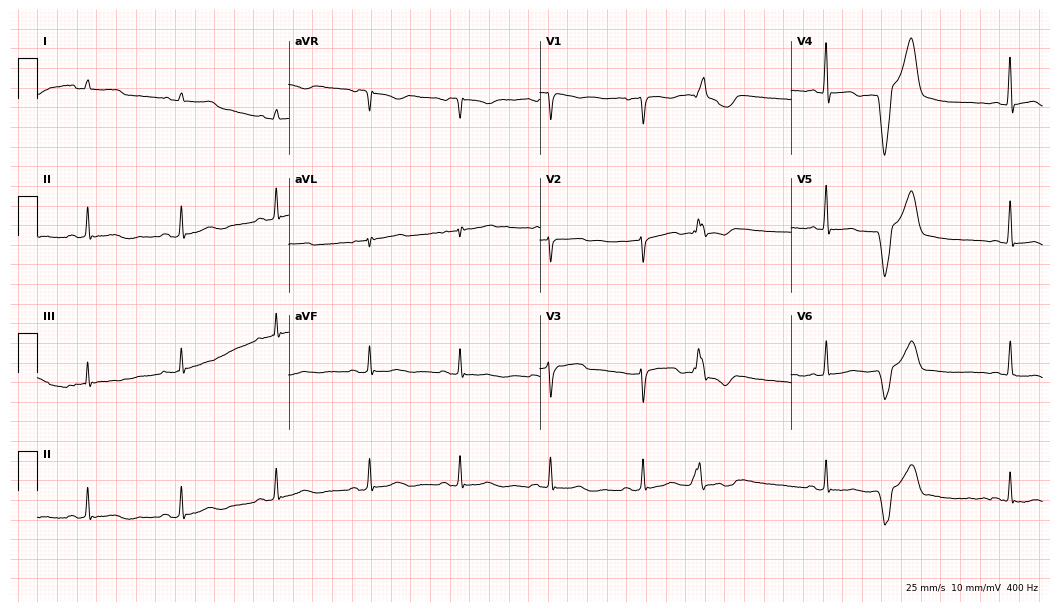
12-lead ECG from a woman, 31 years old (10.2-second recording at 400 Hz). No first-degree AV block, right bundle branch block, left bundle branch block, sinus bradycardia, atrial fibrillation or sinus tachycardia recorded for this tracing.